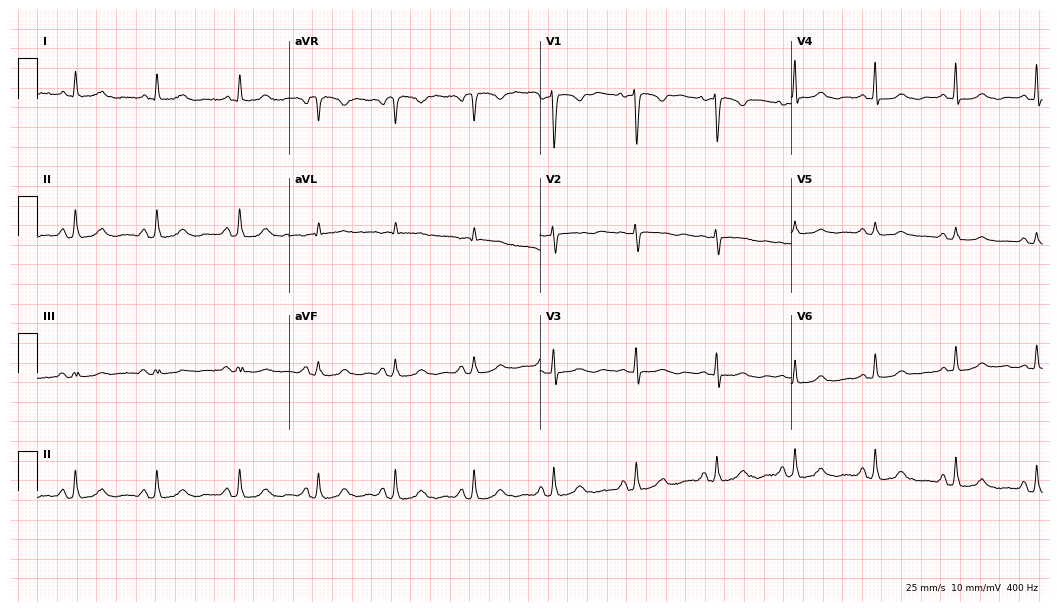
12-lead ECG (10.2-second recording at 400 Hz) from a female, 72 years old. Labelled as a normal ECG.